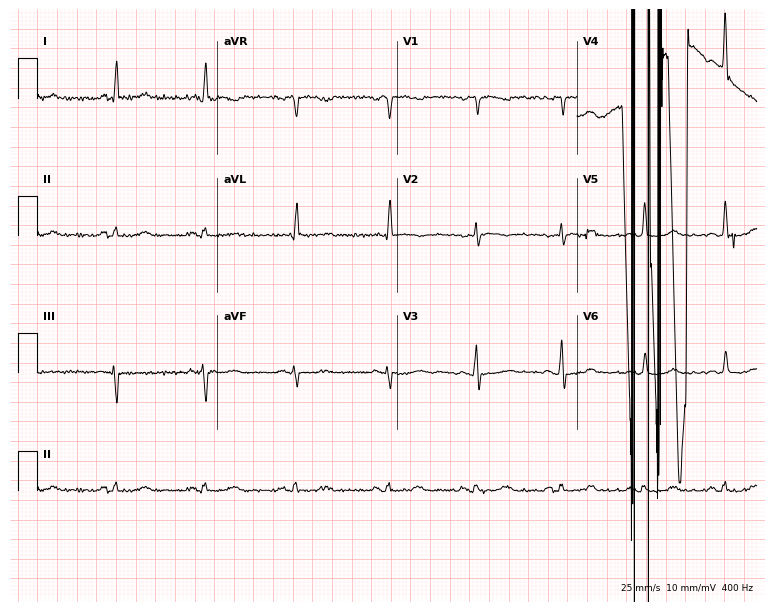
12-lead ECG from a female patient, 64 years old. Screened for six findings — first-degree AV block, right bundle branch block, left bundle branch block, sinus bradycardia, atrial fibrillation, sinus tachycardia — none is recorded.